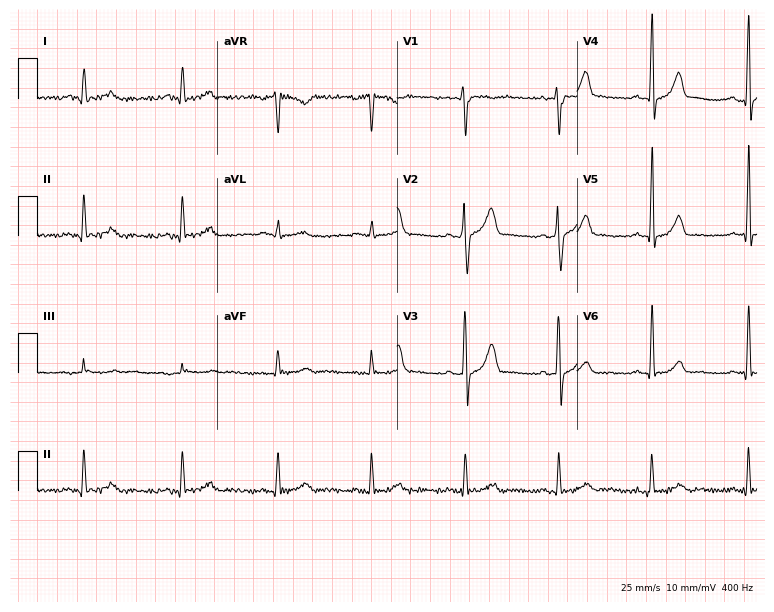
Resting 12-lead electrocardiogram. Patient: a male, 45 years old. None of these six findings is recorded: first-degree AV block, right bundle branch block, left bundle branch block, sinus bradycardia, atrial fibrillation, sinus tachycardia. Other findings, if any, are not listed.